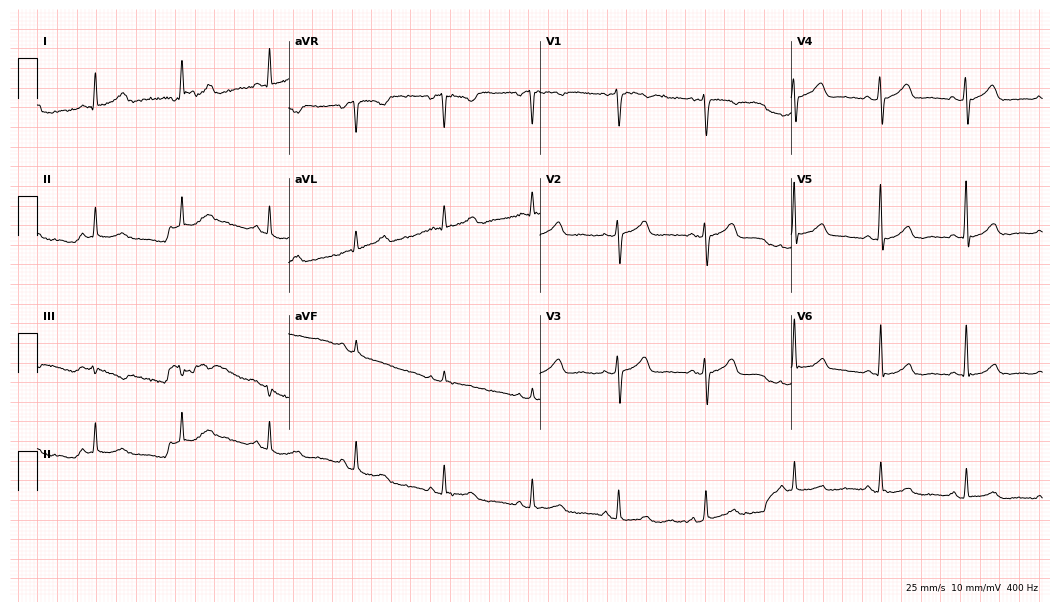
12-lead ECG from a 47-year-old woman. No first-degree AV block, right bundle branch block, left bundle branch block, sinus bradycardia, atrial fibrillation or sinus tachycardia recorded for this tracing.